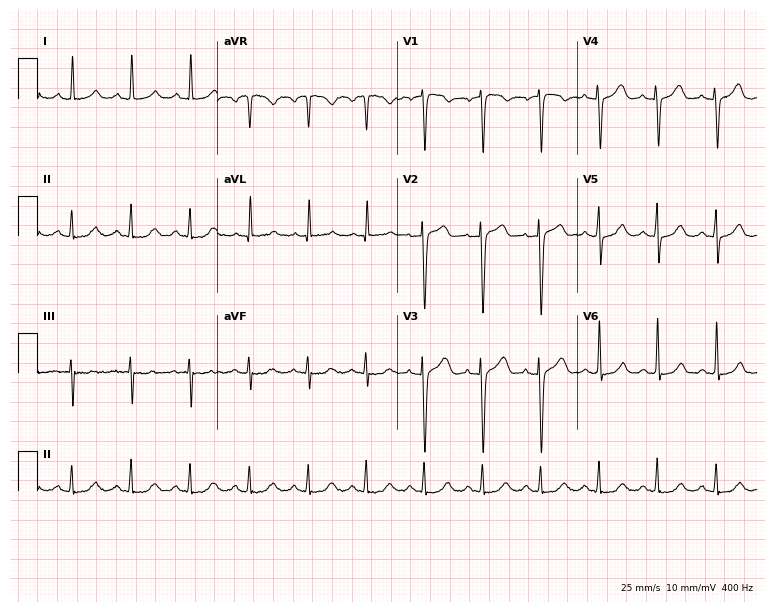
12-lead ECG from a 61-year-old female patient. Screened for six findings — first-degree AV block, right bundle branch block (RBBB), left bundle branch block (LBBB), sinus bradycardia, atrial fibrillation (AF), sinus tachycardia — none is recorded.